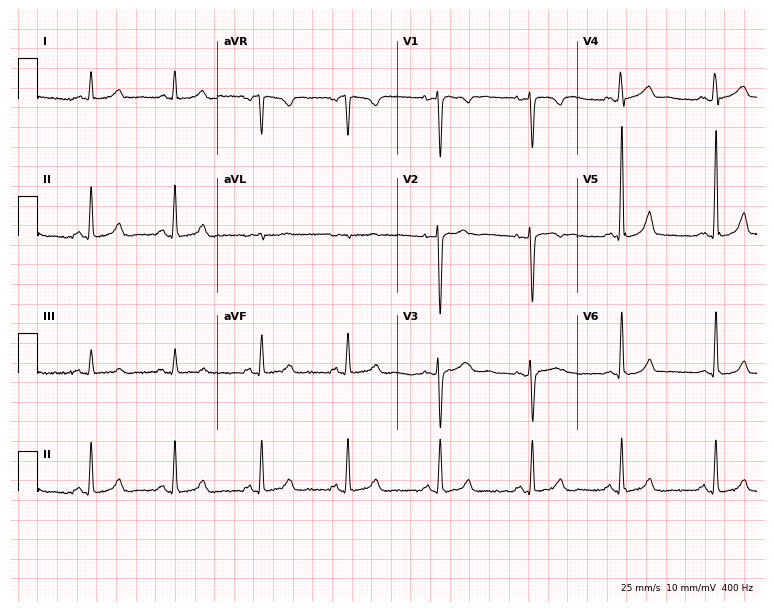
ECG (7.3-second recording at 400 Hz) — a female patient, 37 years old. Screened for six findings — first-degree AV block, right bundle branch block, left bundle branch block, sinus bradycardia, atrial fibrillation, sinus tachycardia — none is recorded.